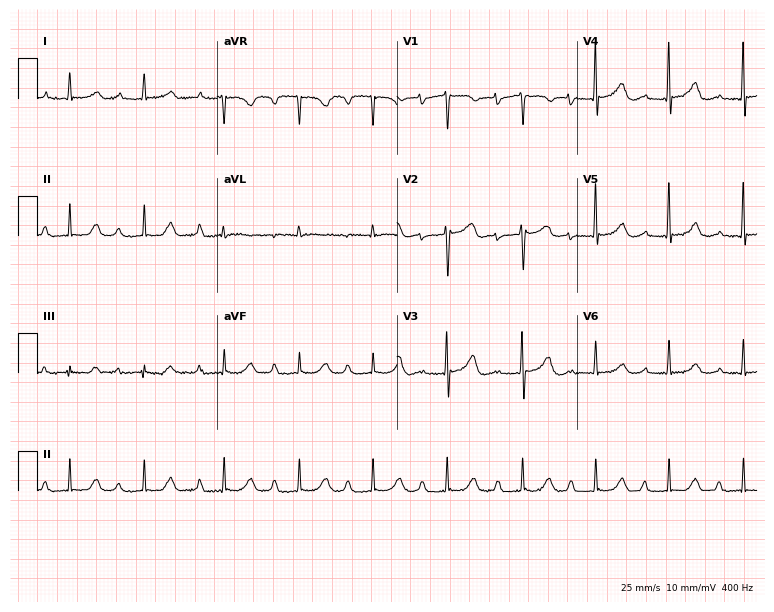
Resting 12-lead electrocardiogram. Patient: a woman, 76 years old. The tracing shows first-degree AV block.